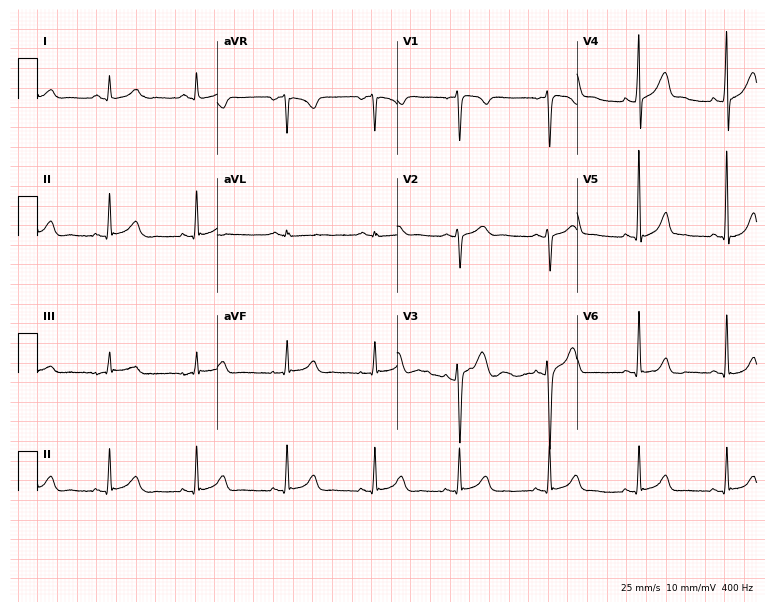
Resting 12-lead electrocardiogram (7.3-second recording at 400 Hz). Patient: a male, 18 years old. Read as a normal ECG.